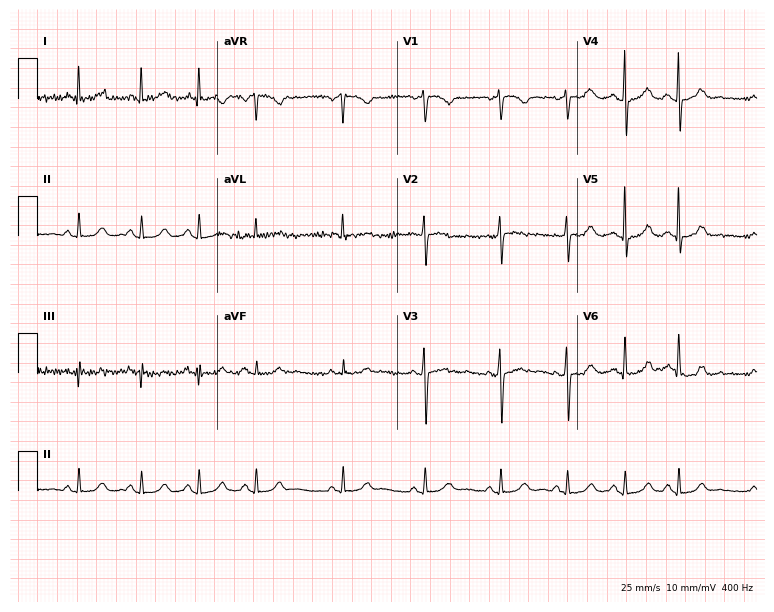
12-lead ECG (7.3-second recording at 400 Hz) from a 40-year-old female. Screened for six findings — first-degree AV block, right bundle branch block, left bundle branch block, sinus bradycardia, atrial fibrillation, sinus tachycardia — none is recorded. Findings outside these six are not listed.